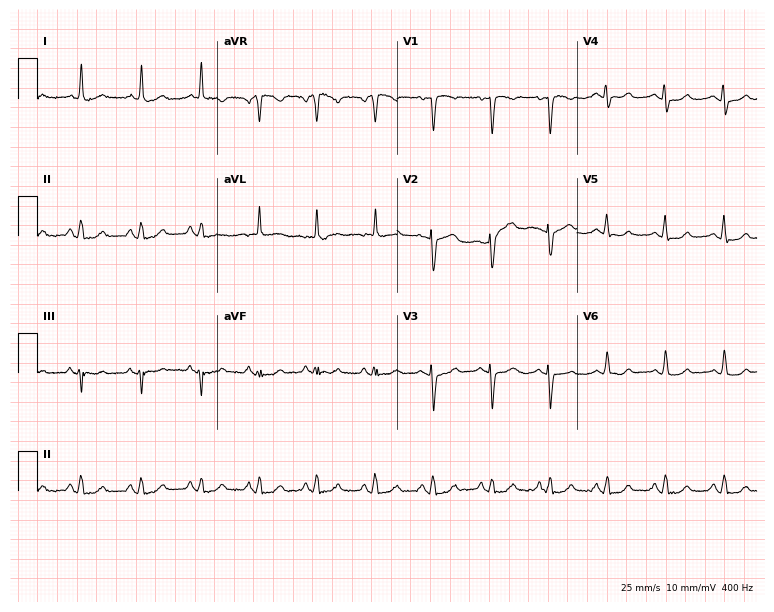
Electrocardiogram (7.3-second recording at 400 Hz), a 67-year-old woman. Of the six screened findings (first-degree AV block, right bundle branch block, left bundle branch block, sinus bradycardia, atrial fibrillation, sinus tachycardia), none is recorded.